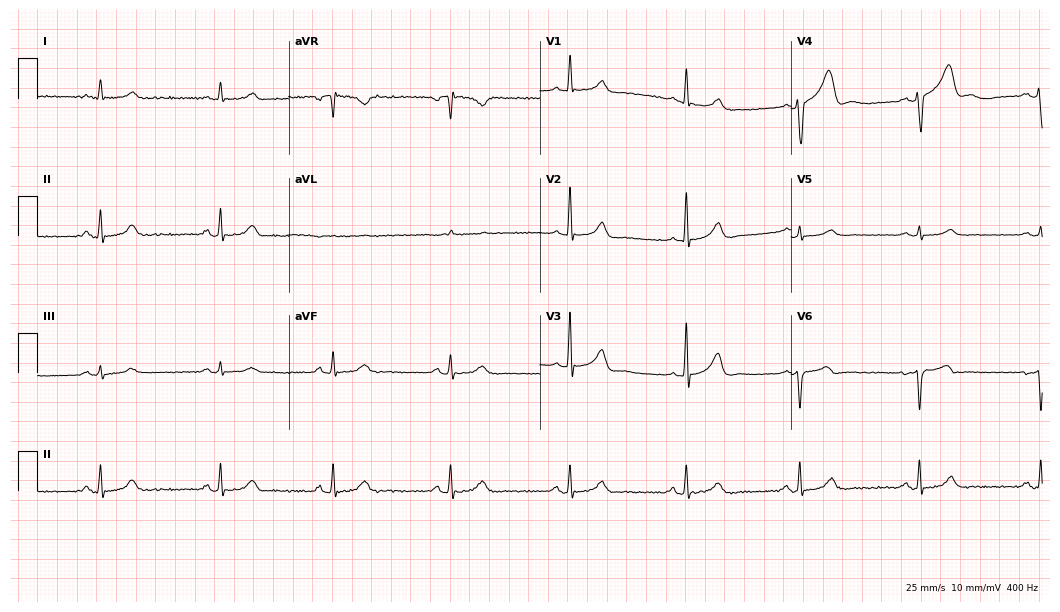
Standard 12-lead ECG recorded from a male patient, 59 years old (10.2-second recording at 400 Hz). None of these six findings is recorded: first-degree AV block, right bundle branch block, left bundle branch block, sinus bradycardia, atrial fibrillation, sinus tachycardia. Only these six findings were labelled.